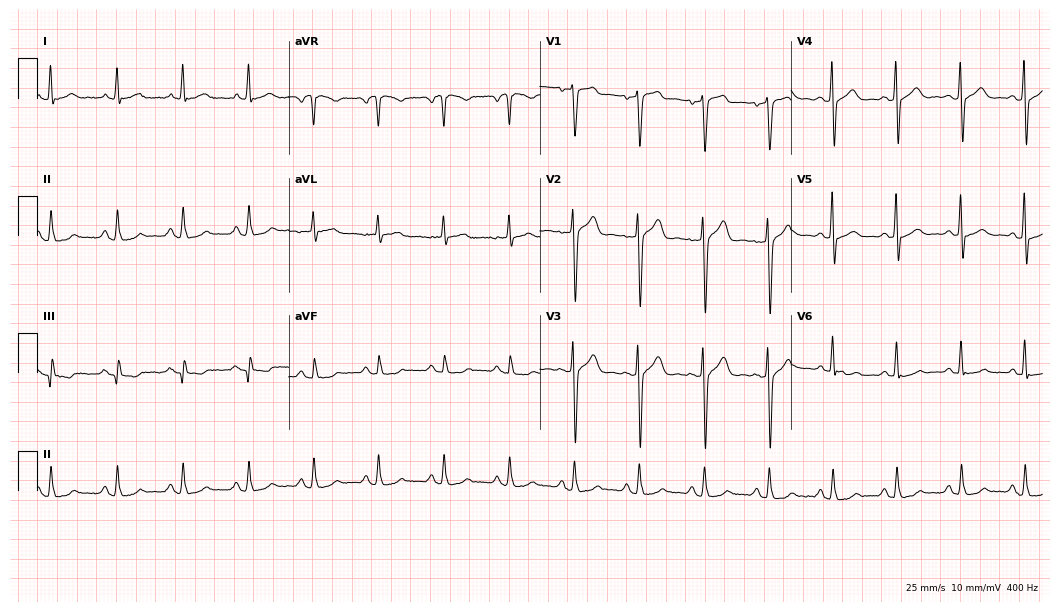
Resting 12-lead electrocardiogram (10.2-second recording at 400 Hz). Patient: a man, 55 years old. Read as a normal ECG.